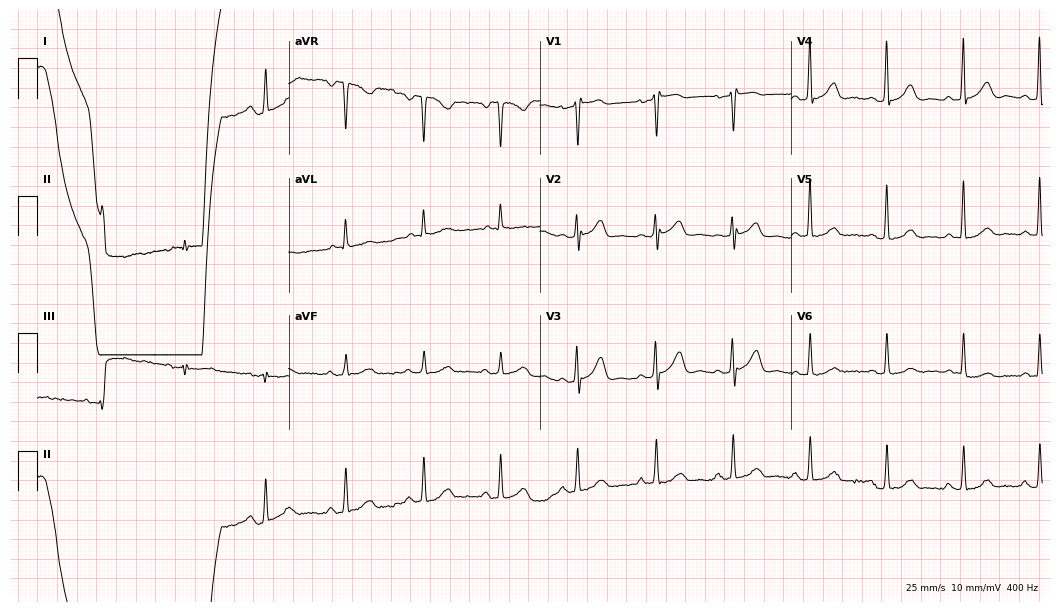
Standard 12-lead ECG recorded from a female, 55 years old (10.2-second recording at 400 Hz). None of these six findings is recorded: first-degree AV block, right bundle branch block, left bundle branch block, sinus bradycardia, atrial fibrillation, sinus tachycardia.